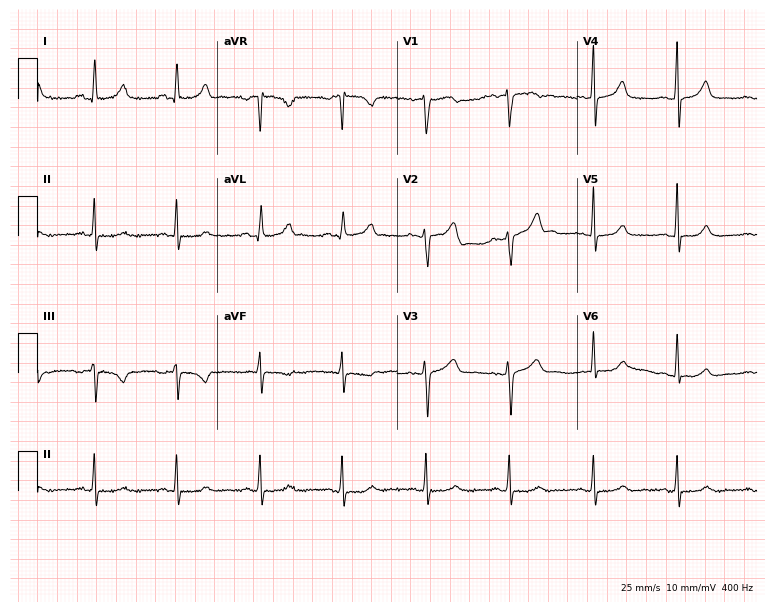
12-lead ECG from a woman, 54 years old (7.3-second recording at 400 Hz). Recorded interpretation: within normal limits.